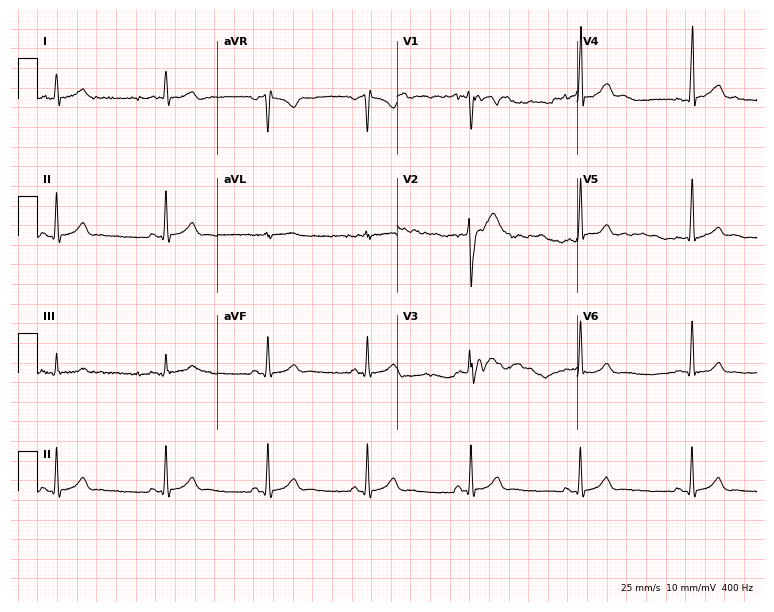
12-lead ECG (7.3-second recording at 400 Hz) from a 31-year-old male. Labelled as a normal ECG.